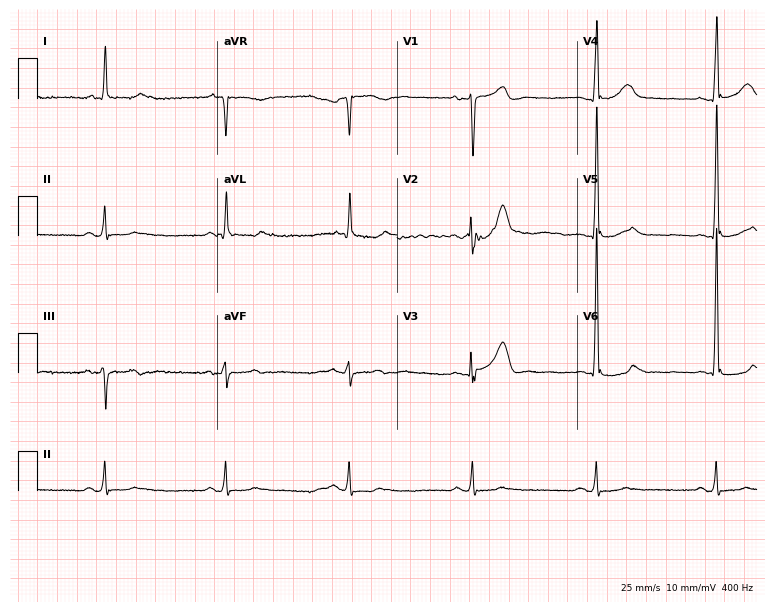
Standard 12-lead ECG recorded from a 76-year-old male. None of these six findings is recorded: first-degree AV block, right bundle branch block, left bundle branch block, sinus bradycardia, atrial fibrillation, sinus tachycardia.